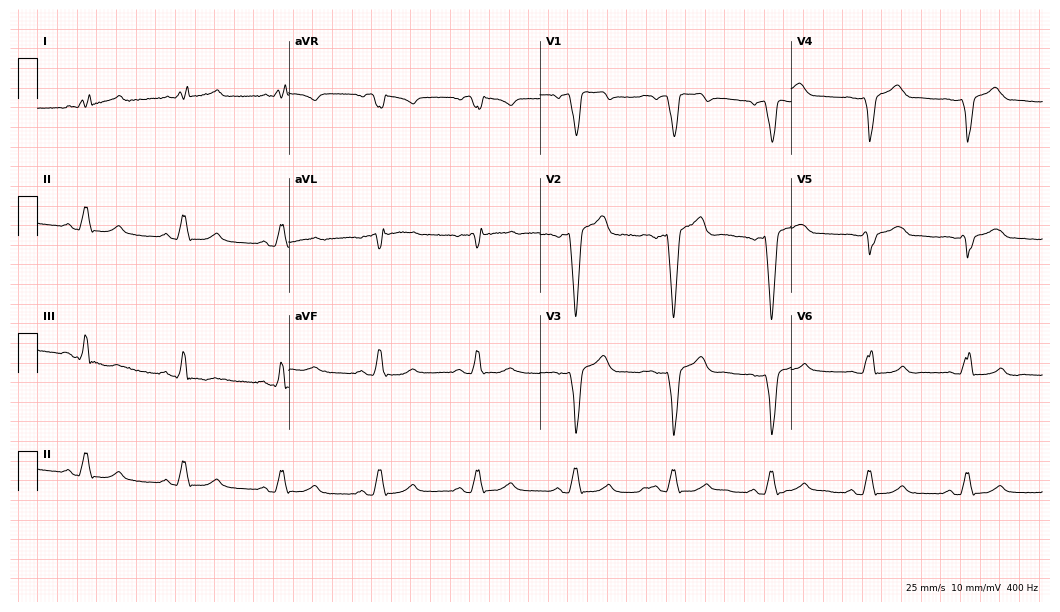
Resting 12-lead electrocardiogram. Patient: a 44-year-old female. The tracing shows left bundle branch block.